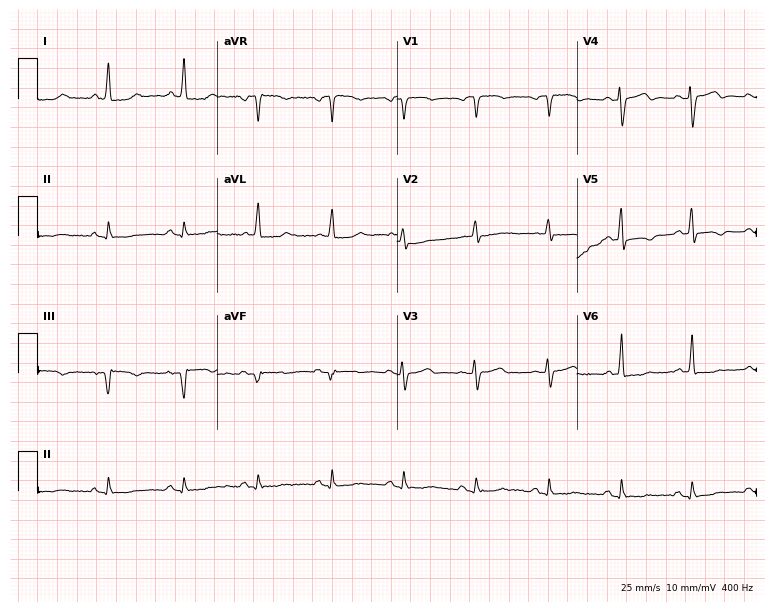
ECG (7.3-second recording at 400 Hz) — a 78-year-old female. Screened for six findings — first-degree AV block, right bundle branch block, left bundle branch block, sinus bradycardia, atrial fibrillation, sinus tachycardia — none is recorded. Only these six findings were labelled.